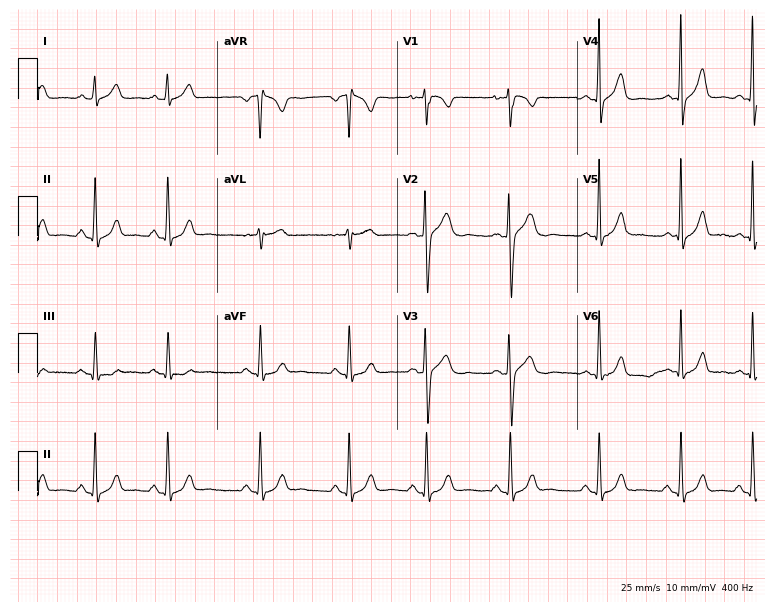
Standard 12-lead ECG recorded from a woman, 19 years old. Read as a normal ECG.